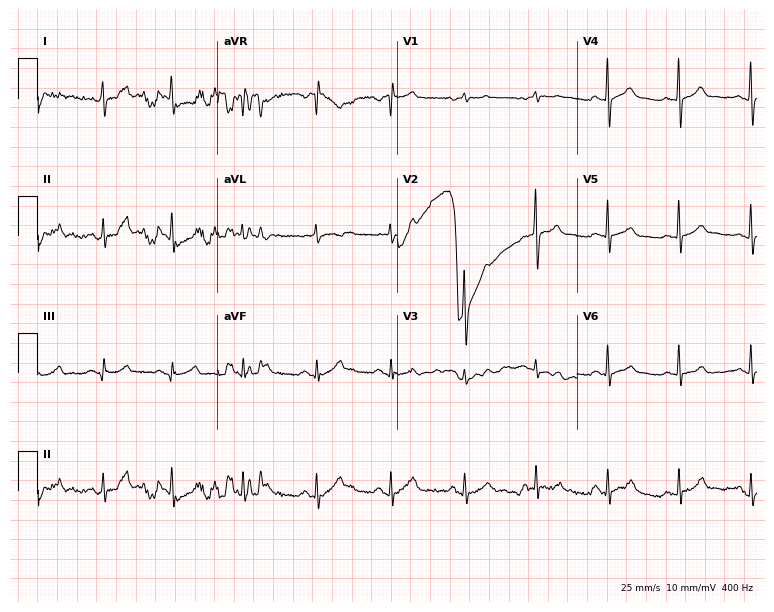
Standard 12-lead ECG recorded from a male, 48 years old. Read as a normal ECG.